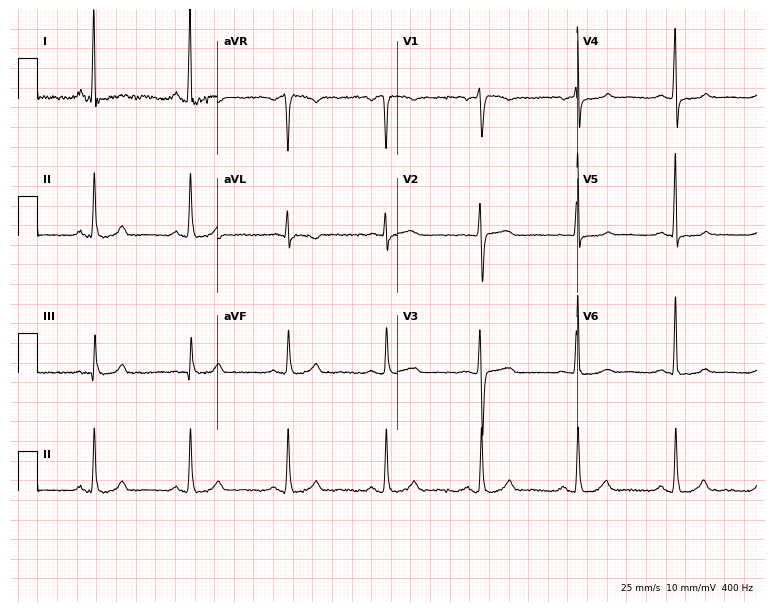
Resting 12-lead electrocardiogram (7.3-second recording at 400 Hz). Patient: a 55-year-old female. Read as a normal ECG.